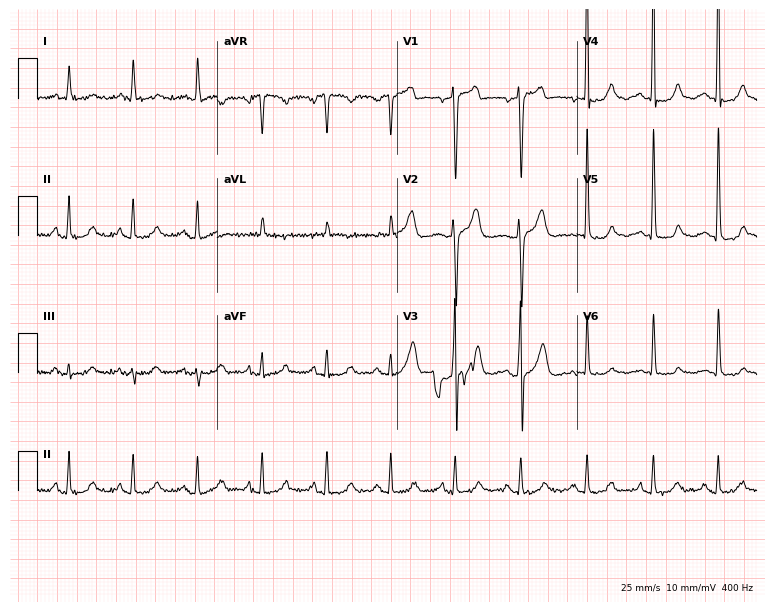
12-lead ECG from a man, 79 years old. Labelled as a normal ECG.